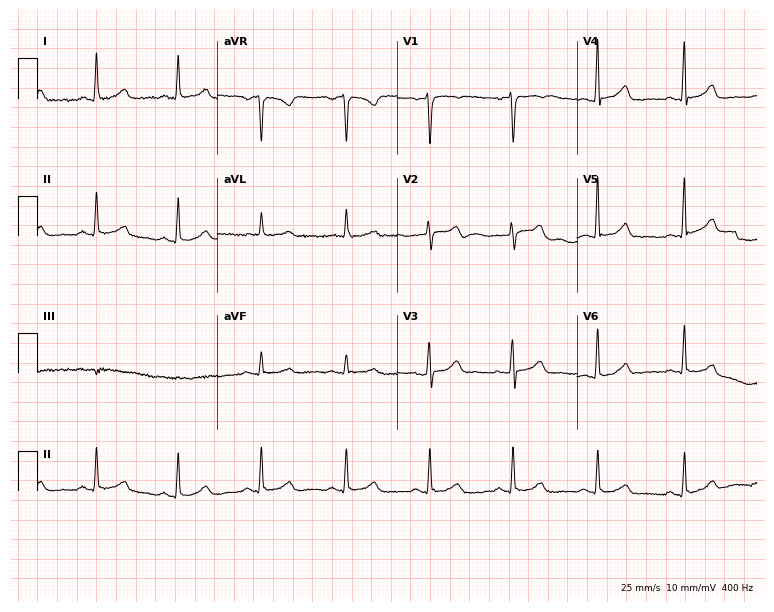
12-lead ECG from a woman, 56 years old (7.3-second recording at 400 Hz). Recorded interpretation: within normal limits.